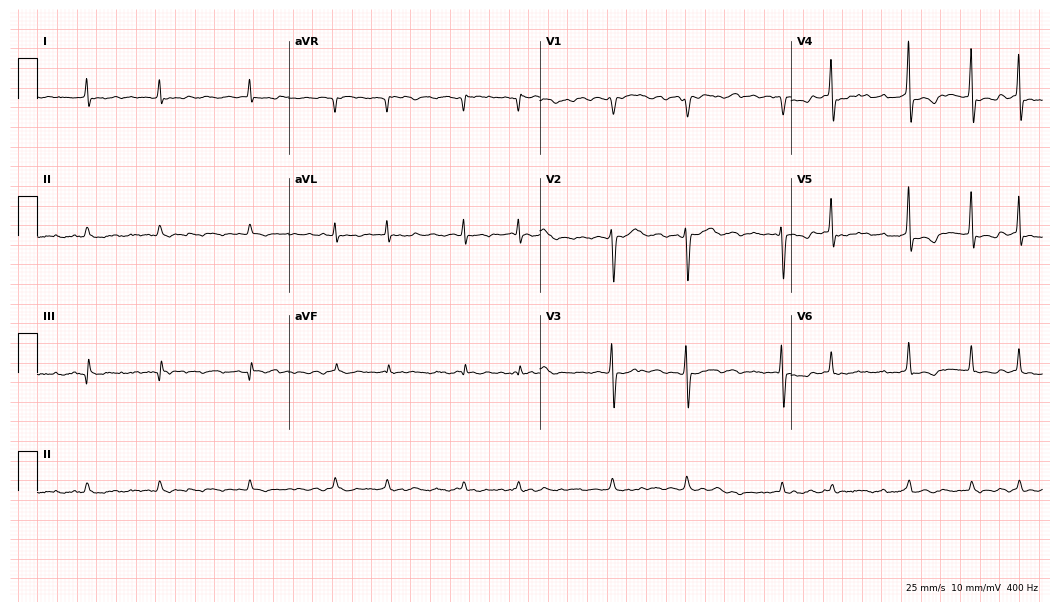
Resting 12-lead electrocardiogram. Patient: an 84-year-old female. The tracing shows atrial fibrillation.